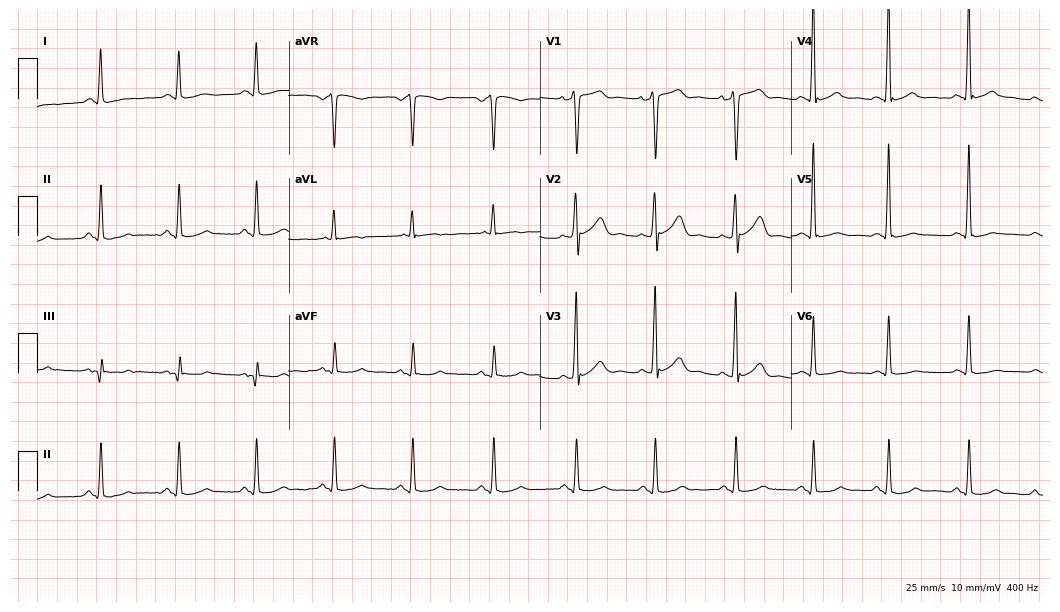
Electrocardiogram (10.2-second recording at 400 Hz), a man, 40 years old. Of the six screened findings (first-degree AV block, right bundle branch block, left bundle branch block, sinus bradycardia, atrial fibrillation, sinus tachycardia), none is recorded.